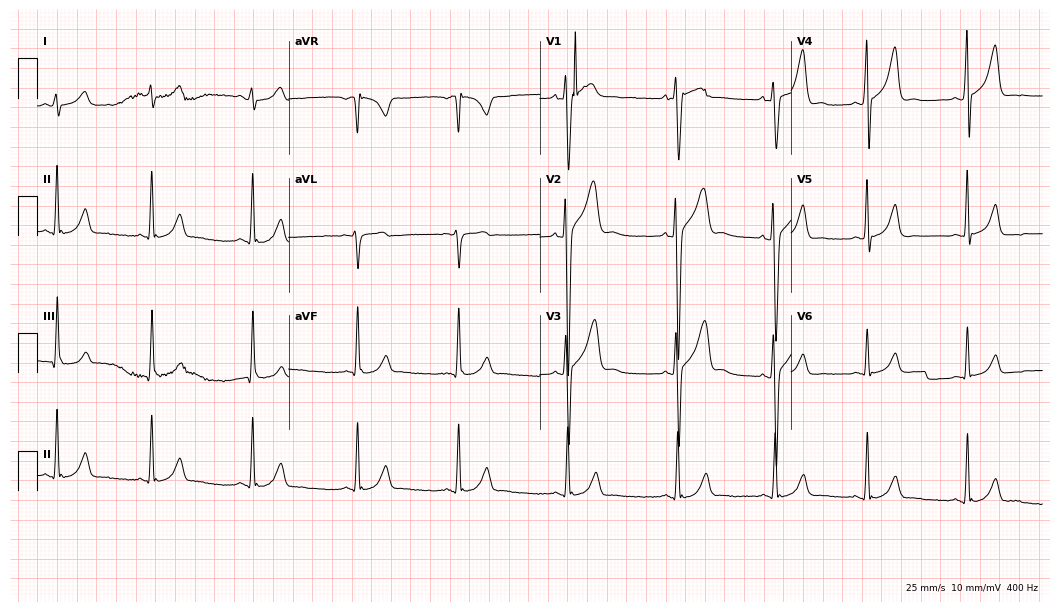
12-lead ECG from a man, 21 years old (10.2-second recording at 400 Hz). No first-degree AV block, right bundle branch block, left bundle branch block, sinus bradycardia, atrial fibrillation or sinus tachycardia recorded for this tracing. Other findings, if any, are not listed.